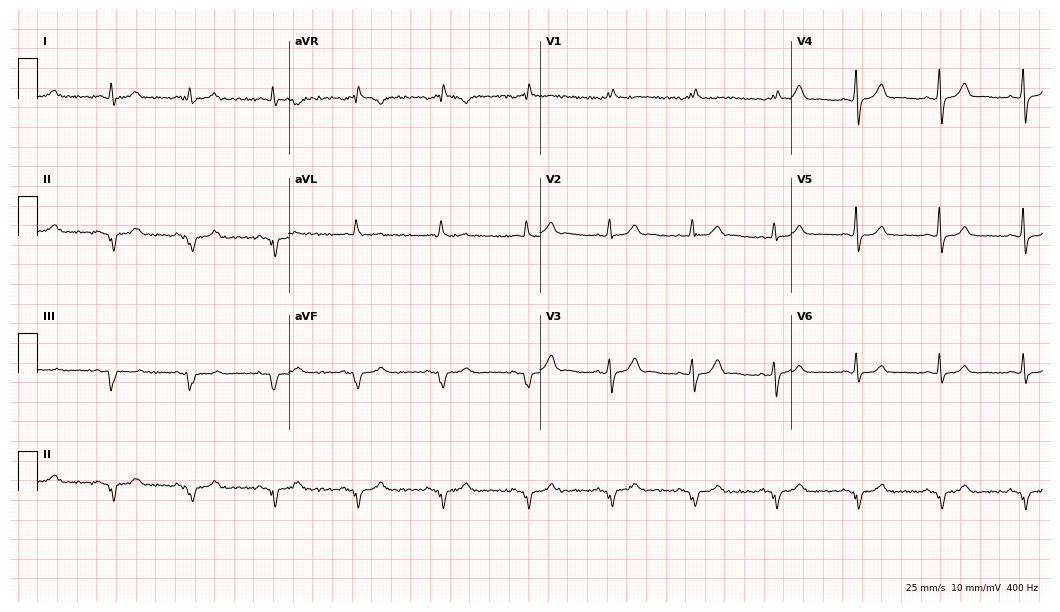
12-lead ECG from a male, 62 years old. No first-degree AV block, right bundle branch block (RBBB), left bundle branch block (LBBB), sinus bradycardia, atrial fibrillation (AF) or sinus tachycardia recorded for this tracing. Findings outside these six are not listed.